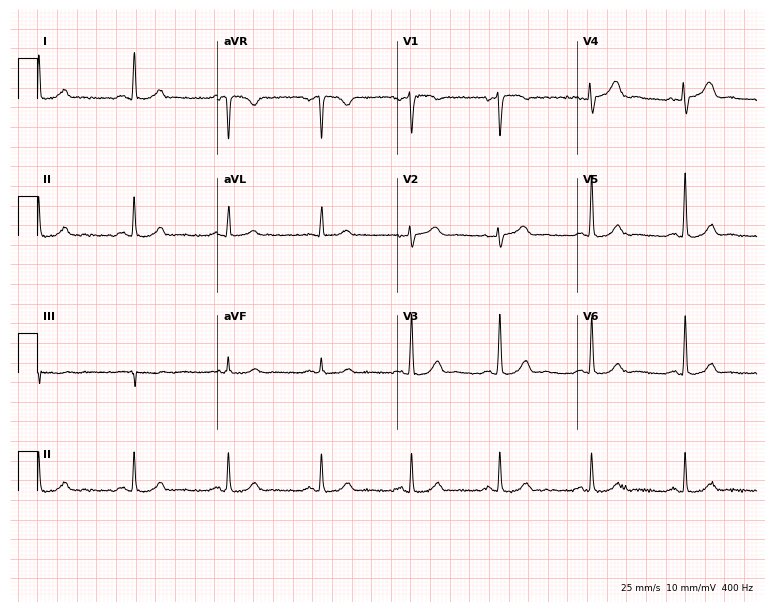
Standard 12-lead ECG recorded from a woman, 53 years old. None of these six findings is recorded: first-degree AV block, right bundle branch block, left bundle branch block, sinus bradycardia, atrial fibrillation, sinus tachycardia.